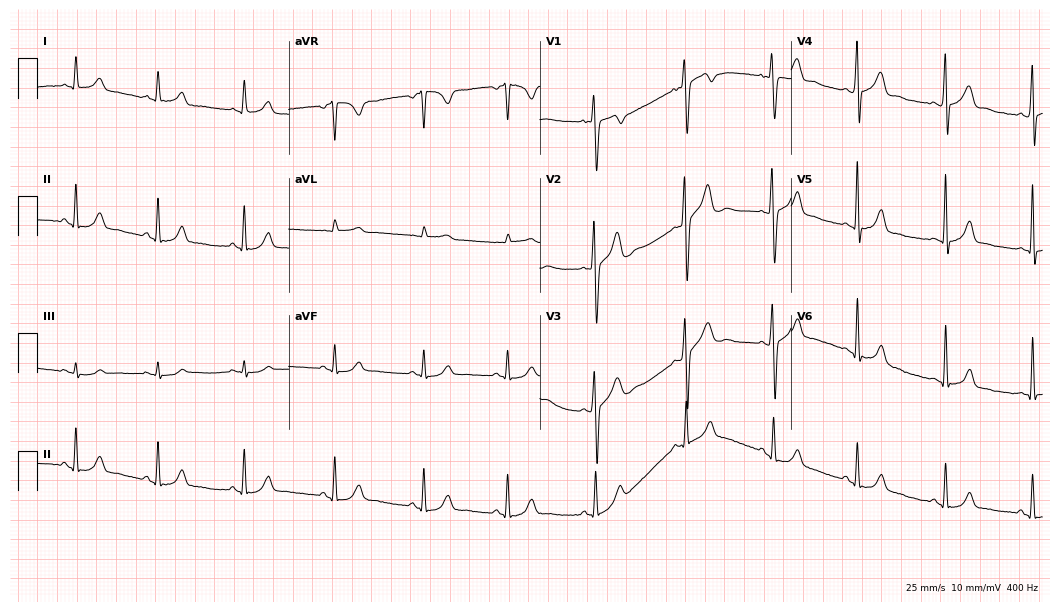
Standard 12-lead ECG recorded from a man, 26 years old (10.2-second recording at 400 Hz). Read as a normal ECG.